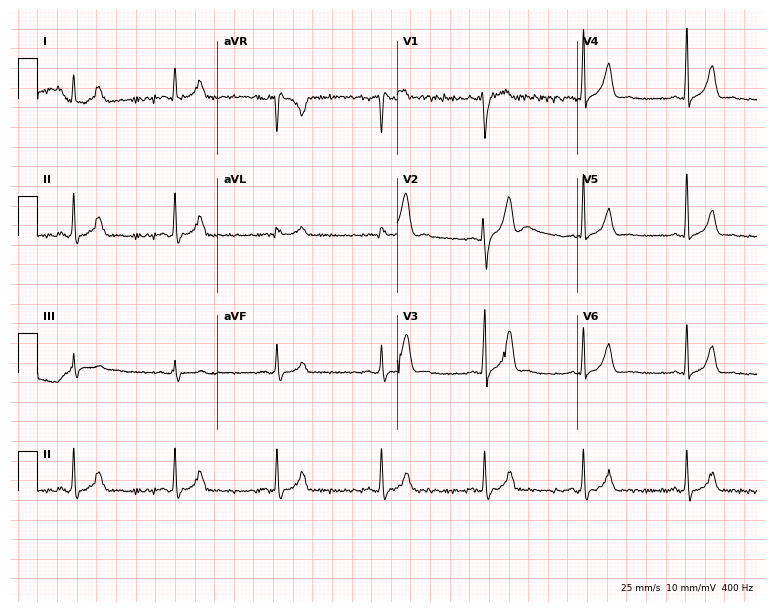
ECG (7.3-second recording at 400 Hz) — a 32-year-old man. Labelled as a normal ECG.